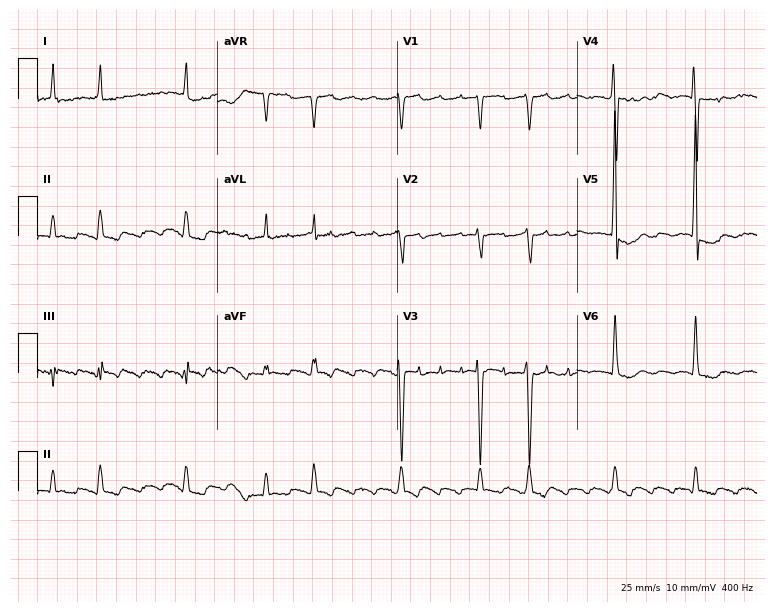
12-lead ECG from a woman, 82 years old. Findings include atrial fibrillation.